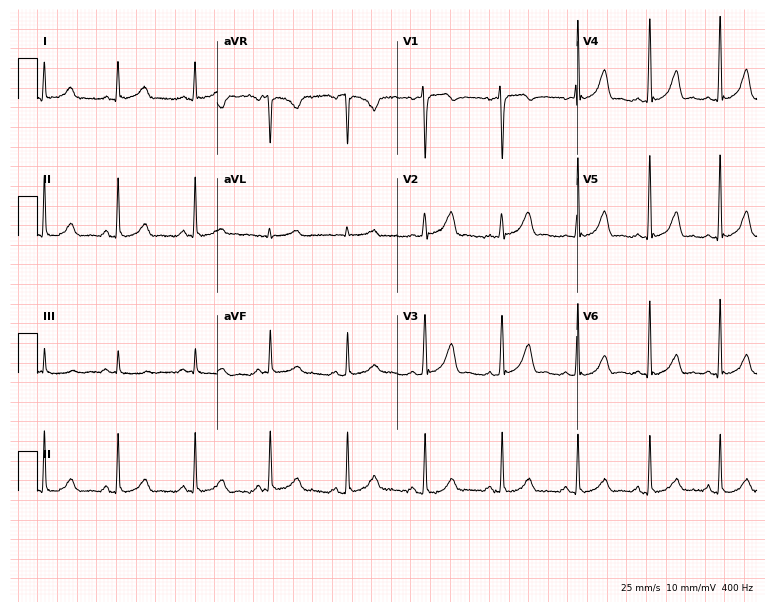
Resting 12-lead electrocardiogram (7.3-second recording at 400 Hz). Patient: a 31-year-old female. Read as a normal ECG.